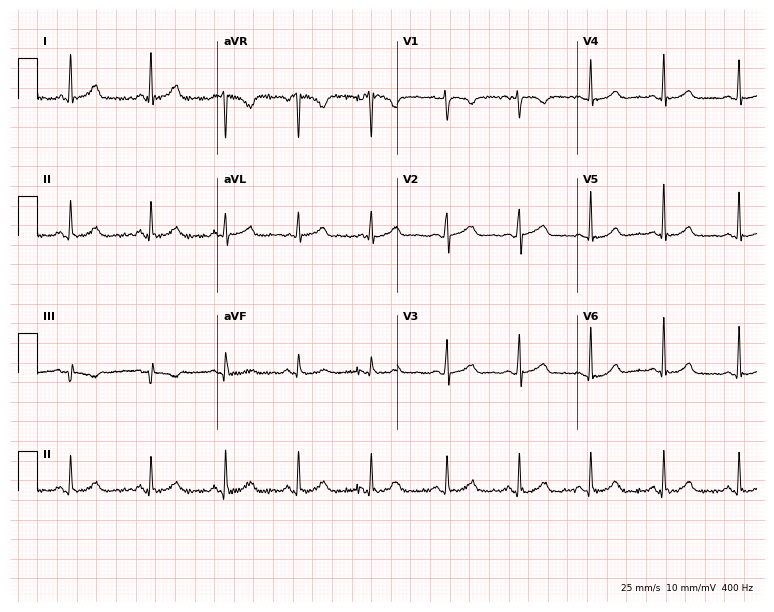
ECG — a 41-year-old female patient. Screened for six findings — first-degree AV block, right bundle branch block (RBBB), left bundle branch block (LBBB), sinus bradycardia, atrial fibrillation (AF), sinus tachycardia — none is recorded. Findings outside these six are not listed.